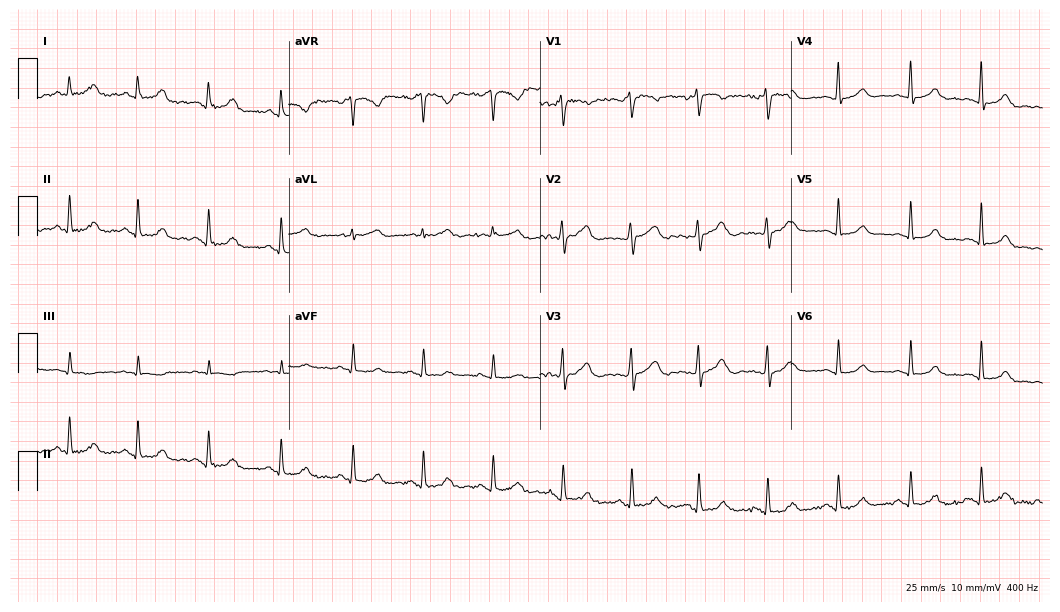
12-lead ECG from a 54-year-old woman. Recorded interpretation: within normal limits.